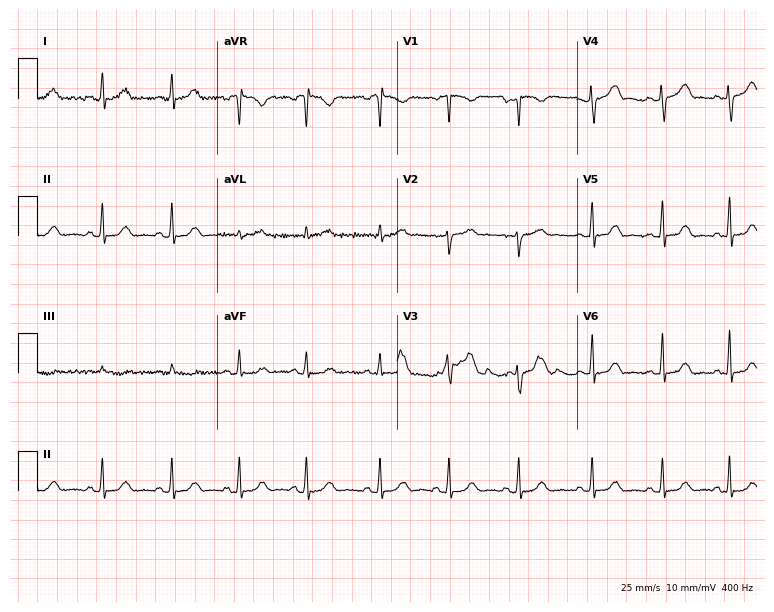
12-lead ECG from a 28-year-old female. Labelled as a normal ECG.